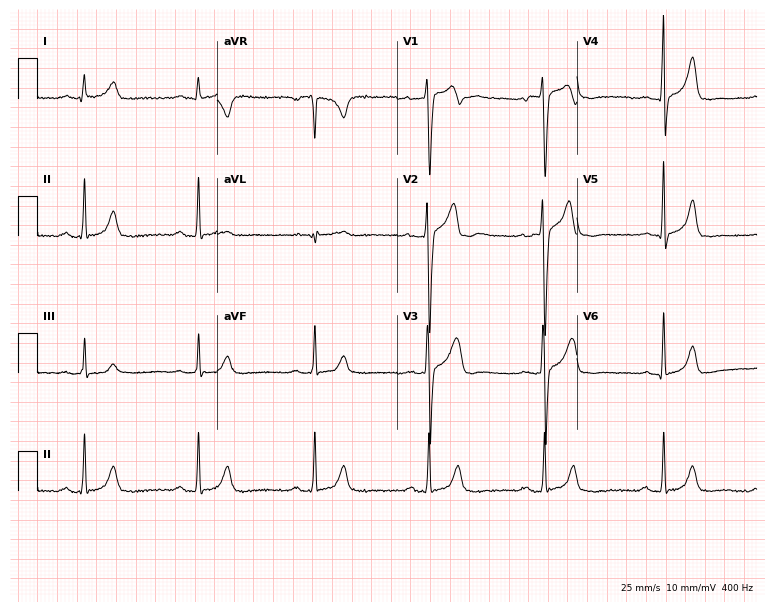
Resting 12-lead electrocardiogram. Patient: a 33-year-old man. Read as a normal ECG.